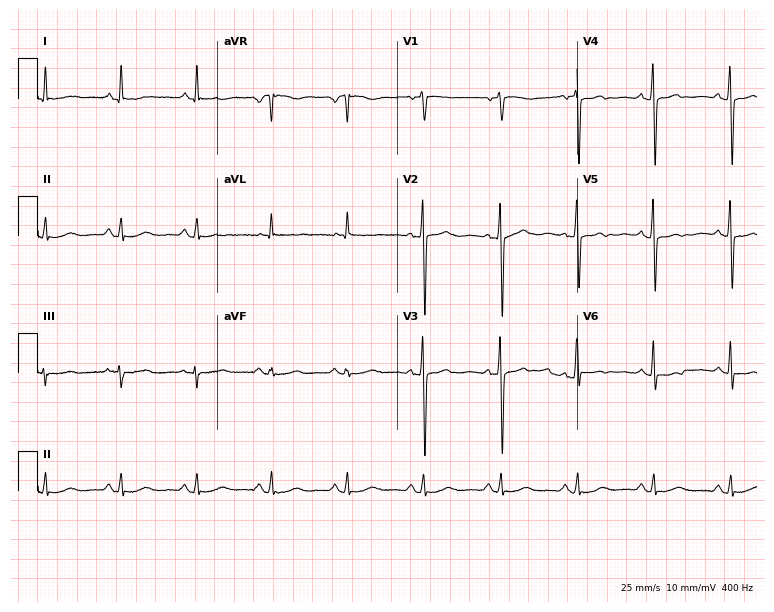
12-lead ECG from a 66-year-old woman. No first-degree AV block, right bundle branch block, left bundle branch block, sinus bradycardia, atrial fibrillation or sinus tachycardia recorded for this tracing.